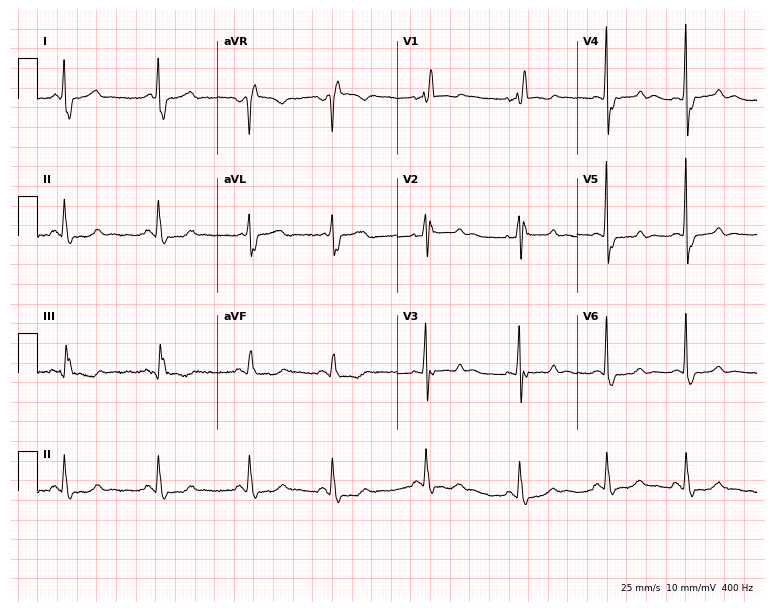
Resting 12-lead electrocardiogram (7.3-second recording at 400 Hz). Patient: a female, 45 years old. The tracing shows right bundle branch block (RBBB).